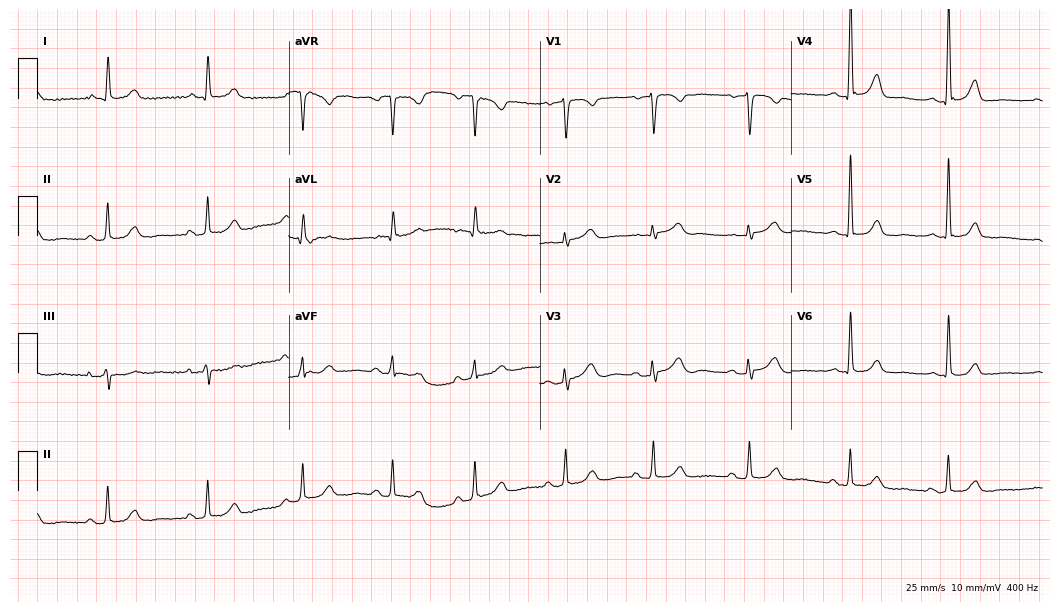
Resting 12-lead electrocardiogram. Patient: a 77-year-old female. None of these six findings is recorded: first-degree AV block, right bundle branch block, left bundle branch block, sinus bradycardia, atrial fibrillation, sinus tachycardia. Only these six findings were labelled.